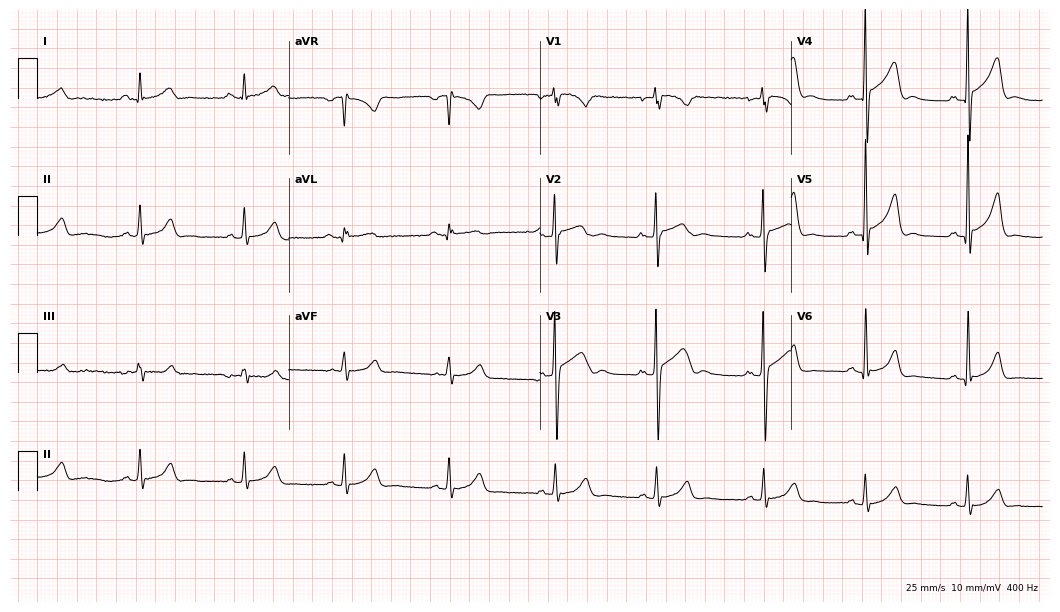
ECG — a 25-year-old man. Screened for six findings — first-degree AV block, right bundle branch block (RBBB), left bundle branch block (LBBB), sinus bradycardia, atrial fibrillation (AF), sinus tachycardia — none is recorded. Only these six findings were labelled.